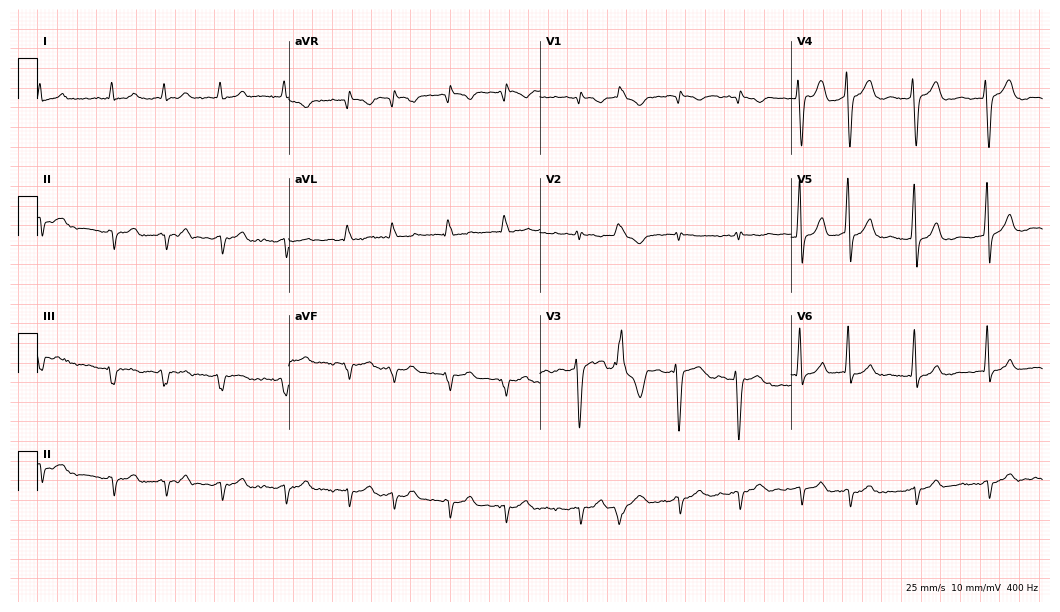
12-lead ECG from a 59-year-old woman (10.2-second recording at 400 Hz). Shows atrial fibrillation.